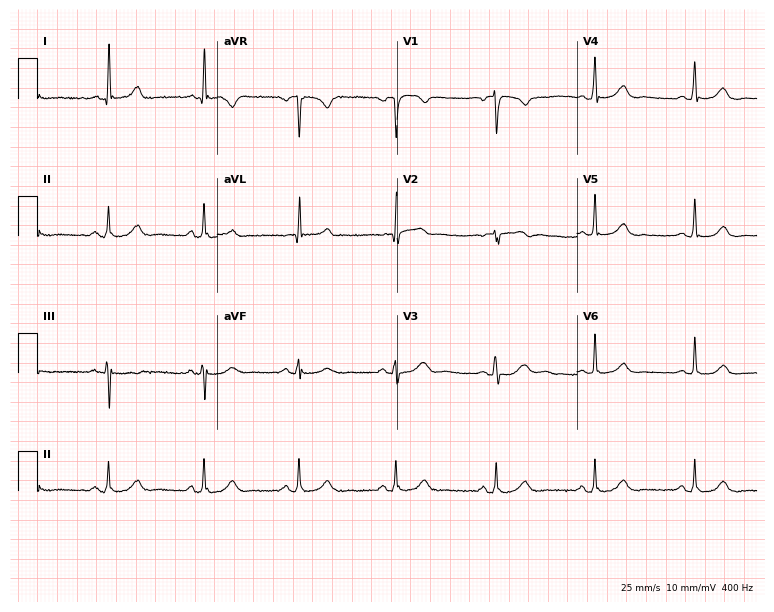
Electrocardiogram, a 59-year-old female. Overall reading on record: normal ECG.